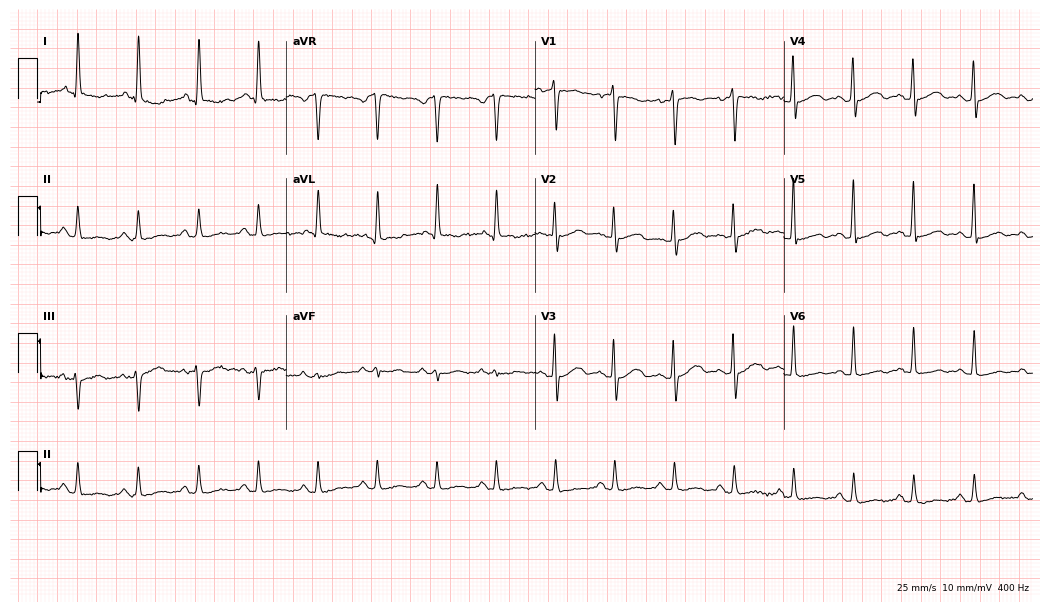
12-lead ECG from a female patient, 58 years old. Screened for six findings — first-degree AV block, right bundle branch block, left bundle branch block, sinus bradycardia, atrial fibrillation, sinus tachycardia — none is recorded. Other findings, if any, are not listed.